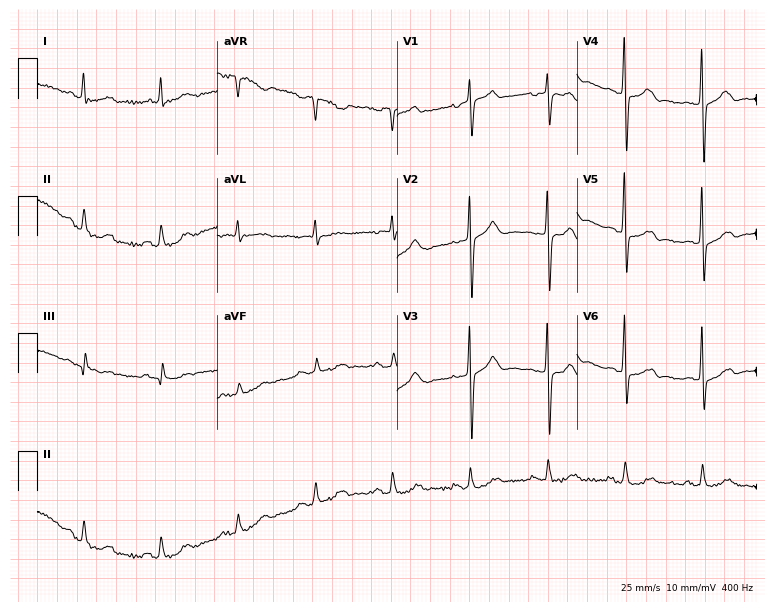
Standard 12-lead ECG recorded from a male patient, 79 years old. None of these six findings is recorded: first-degree AV block, right bundle branch block, left bundle branch block, sinus bradycardia, atrial fibrillation, sinus tachycardia. Other findings, if any, are not listed.